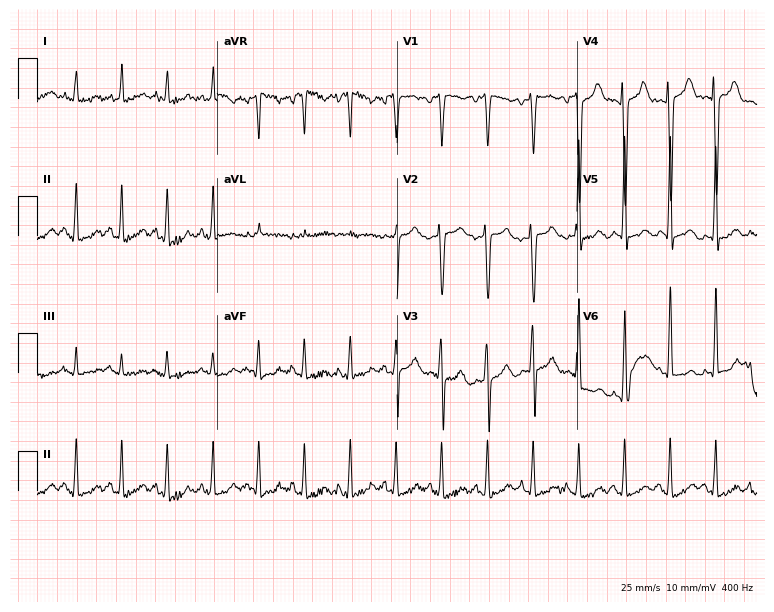
12-lead ECG from a 50-year-old female patient. Shows sinus tachycardia (a sinus rate of 100 beats per minute or more).